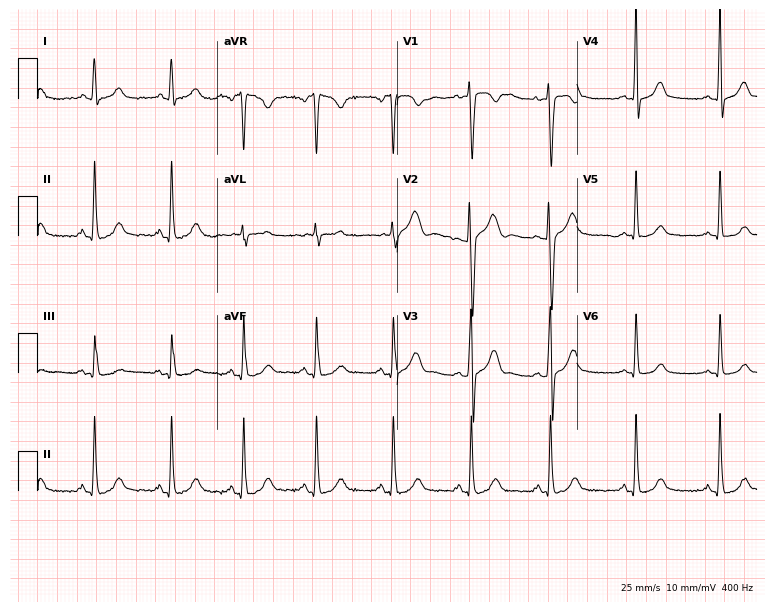
Resting 12-lead electrocardiogram (7.3-second recording at 400 Hz). Patient: a 22-year-old female. Read as a normal ECG.